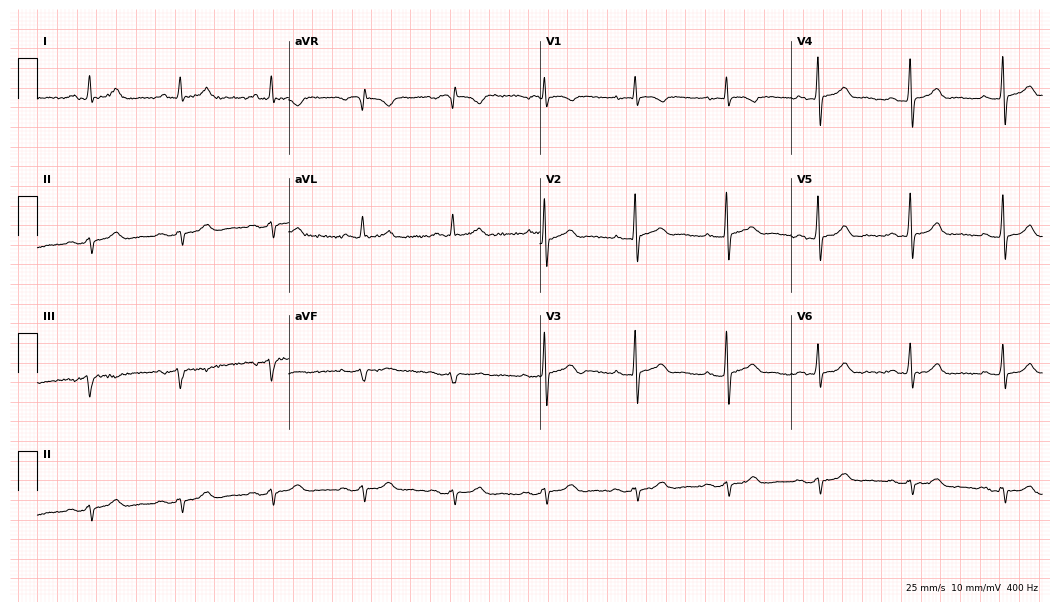
Resting 12-lead electrocardiogram. Patient: a 77-year-old male. None of these six findings is recorded: first-degree AV block, right bundle branch block, left bundle branch block, sinus bradycardia, atrial fibrillation, sinus tachycardia. Only these six findings were labelled.